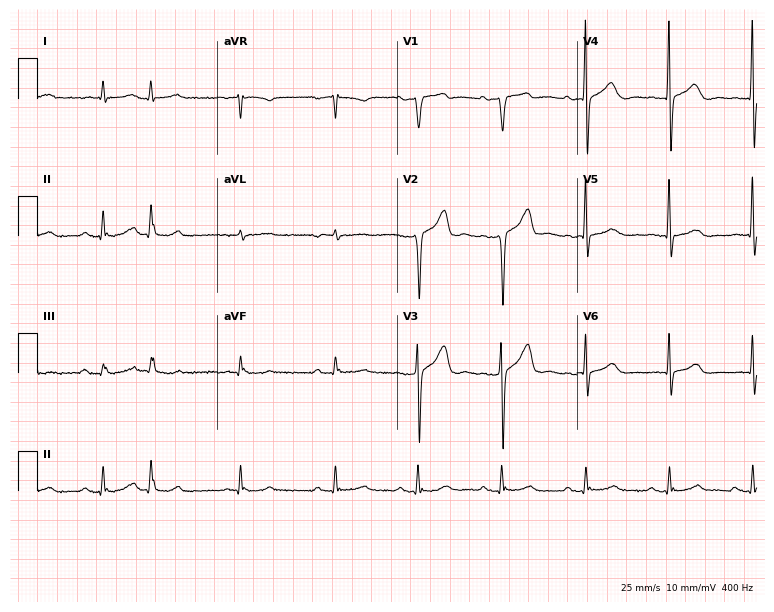
12-lead ECG from a male patient, 76 years old (7.3-second recording at 400 Hz). Recorded interpretation: within normal limits.